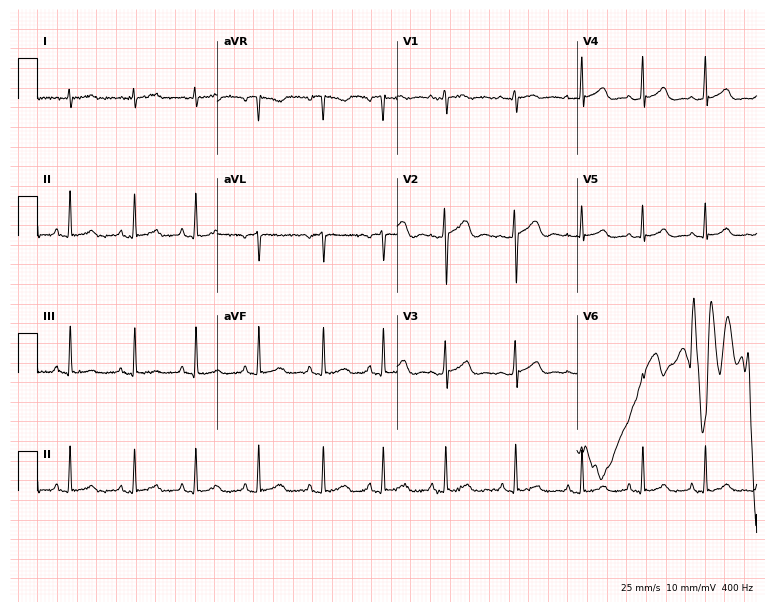
Standard 12-lead ECG recorded from a female, 21 years old (7.3-second recording at 400 Hz). None of these six findings is recorded: first-degree AV block, right bundle branch block, left bundle branch block, sinus bradycardia, atrial fibrillation, sinus tachycardia.